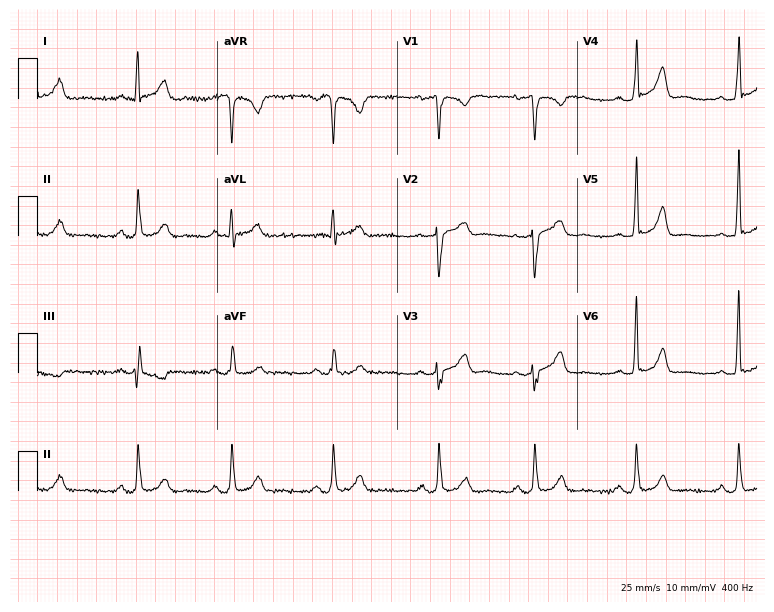
ECG — a female, 43 years old. Screened for six findings — first-degree AV block, right bundle branch block, left bundle branch block, sinus bradycardia, atrial fibrillation, sinus tachycardia — none is recorded. Only these six findings were labelled.